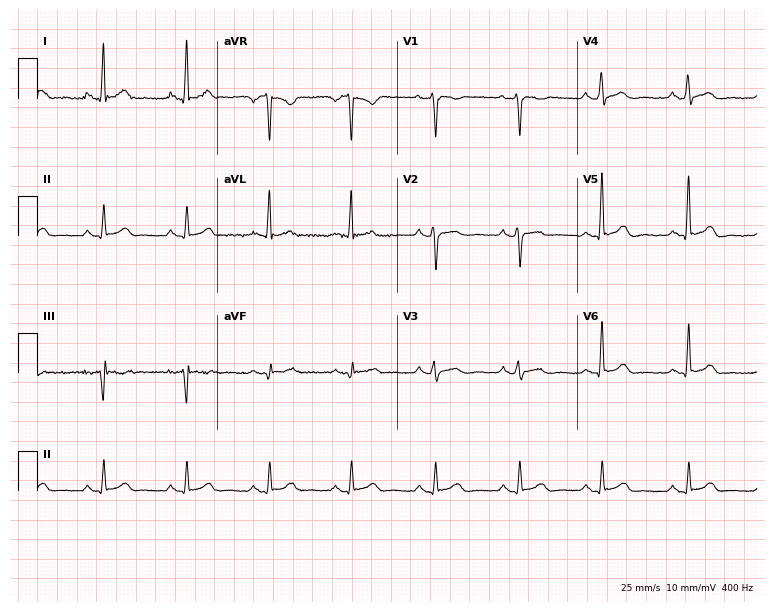
ECG (7.3-second recording at 400 Hz) — a man, 28 years old. Labelled as a normal ECG.